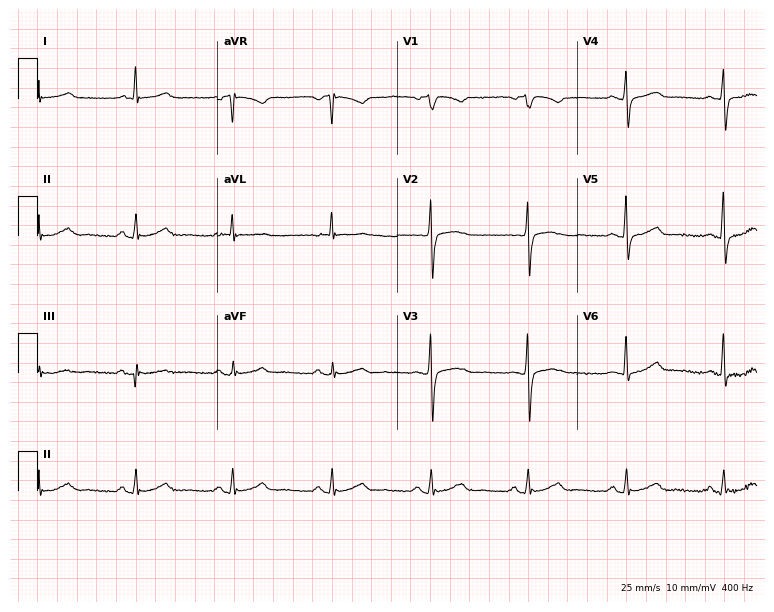
ECG — a 75-year-old female. Labelled as a normal ECG.